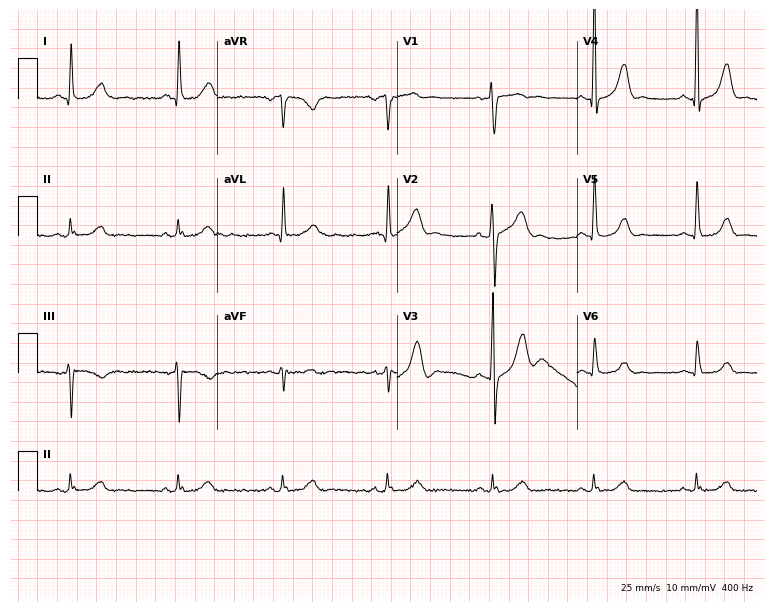
12-lead ECG from a man, 50 years old (7.3-second recording at 400 Hz). No first-degree AV block, right bundle branch block (RBBB), left bundle branch block (LBBB), sinus bradycardia, atrial fibrillation (AF) or sinus tachycardia recorded for this tracing. Other findings, if any, are not listed.